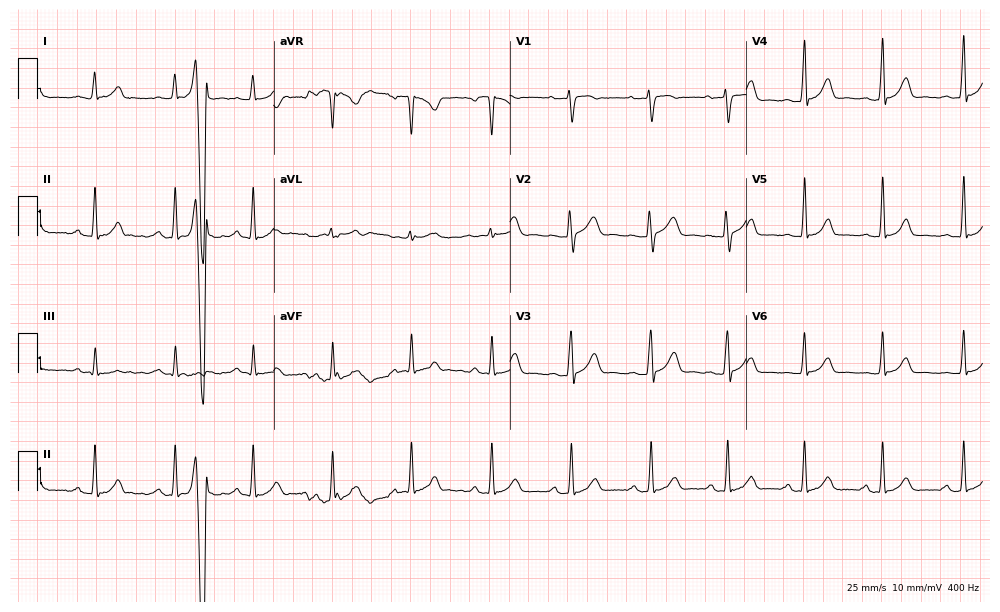
ECG — a 33-year-old female patient. Screened for six findings — first-degree AV block, right bundle branch block, left bundle branch block, sinus bradycardia, atrial fibrillation, sinus tachycardia — none is recorded.